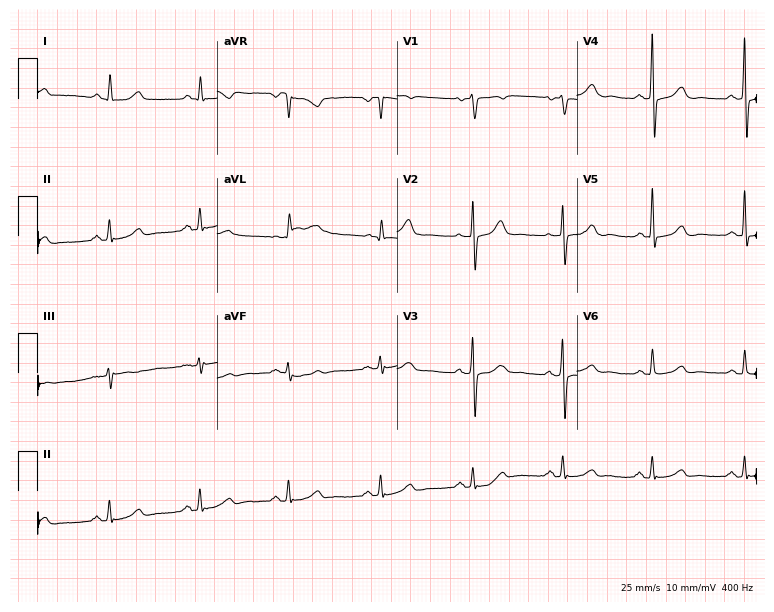
Standard 12-lead ECG recorded from a woman, 61 years old. None of these six findings is recorded: first-degree AV block, right bundle branch block, left bundle branch block, sinus bradycardia, atrial fibrillation, sinus tachycardia.